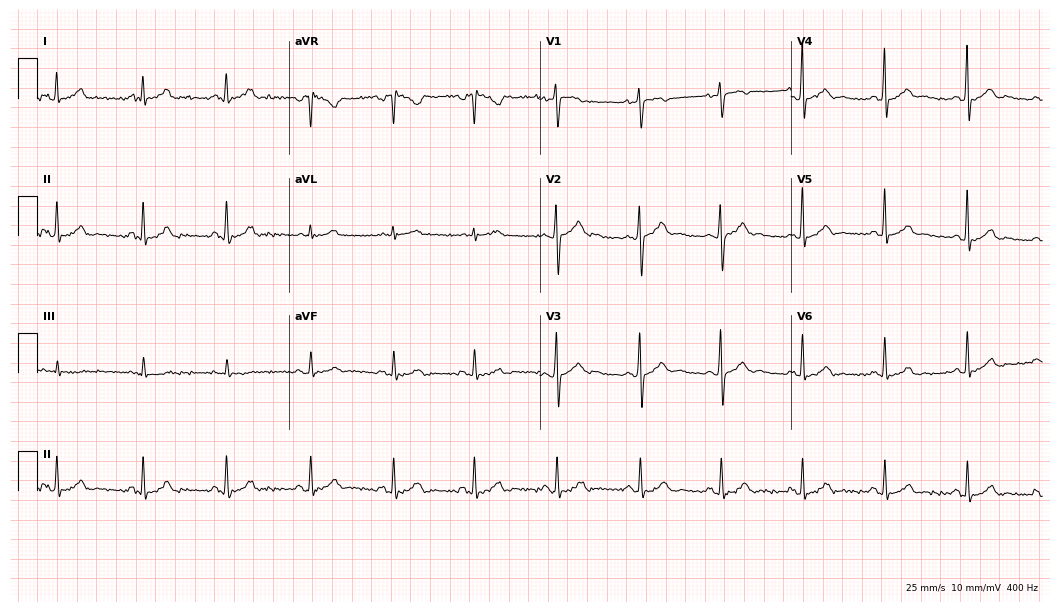
12-lead ECG (10.2-second recording at 400 Hz) from a male, 39 years old. Screened for six findings — first-degree AV block, right bundle branch block, left bundle branch block, sinus bradycardia, atrial fibrillation, sinus tachycardia — none is recorded. Findings outside these six are not listed.